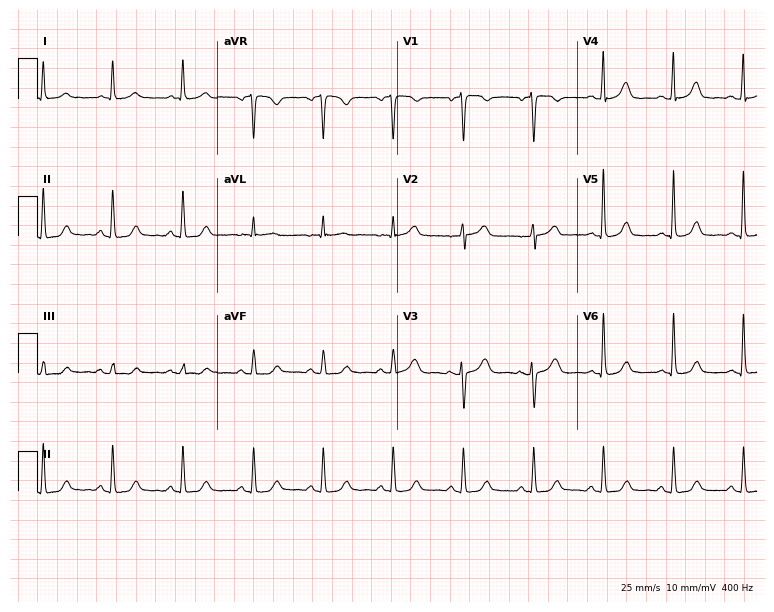
12-lead ECG from a female, 79 years old. Screened for six findings — first-degree AV block, right bundle branch block, left bundle branch block, sinus bradycardia, atrial fibrillation, sinus tachycardia — none is recorded.